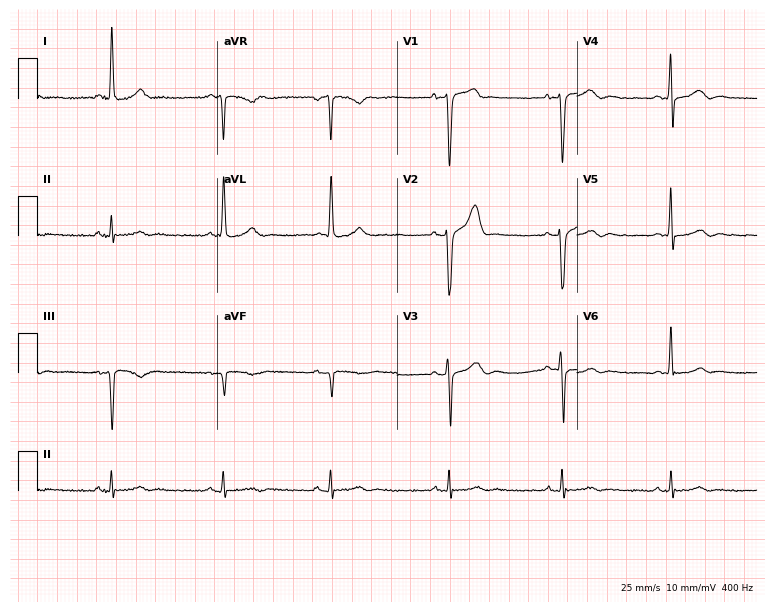
ECG — a man, 39 years old. Screened for six findings — first-degree AV block, right bundle branch block, left bundle branch block, sinus bradycardia, atrial fibrillation, sinus tachycardia — none is recorded.